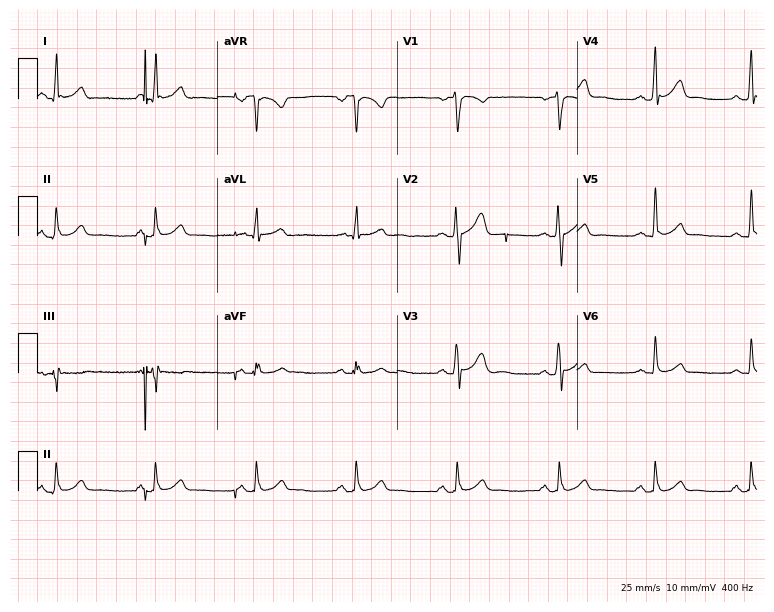
12-lead ECG from a 39-year-old male patient (7.3-second recording at 400 Hz). Recorded interpretation: within normal limits.